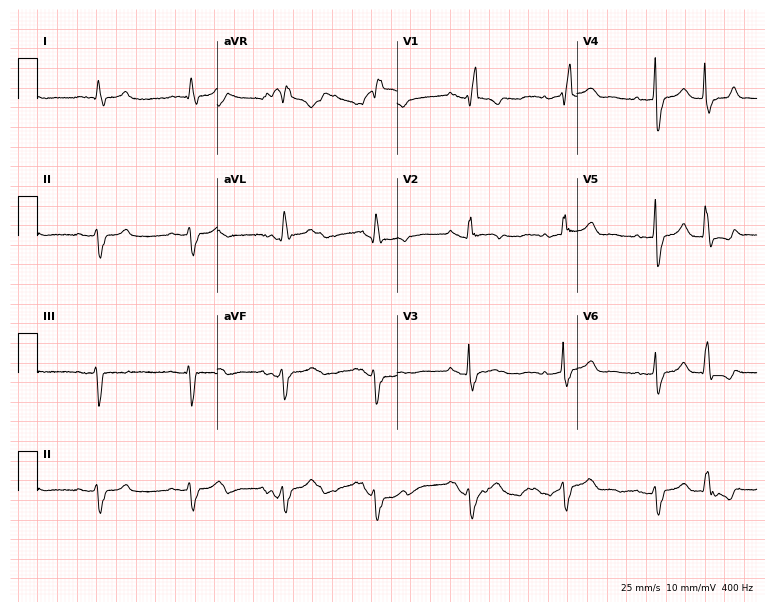
ECG (7.3-second recording at 400 Hz) — a male, 83 years old. Findings include right bundle branch block.